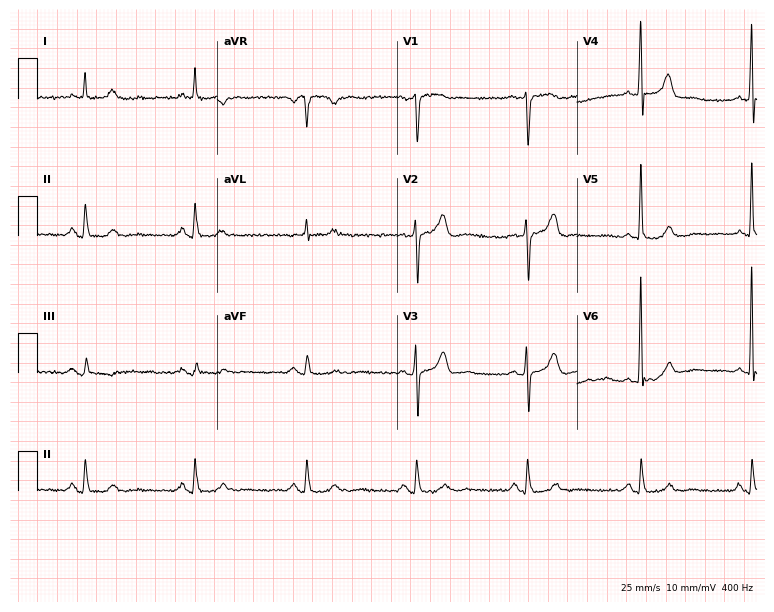
Resting 12-lead electrocardiogram. Patient: a male, 63 years old. Read as a normal ECG.